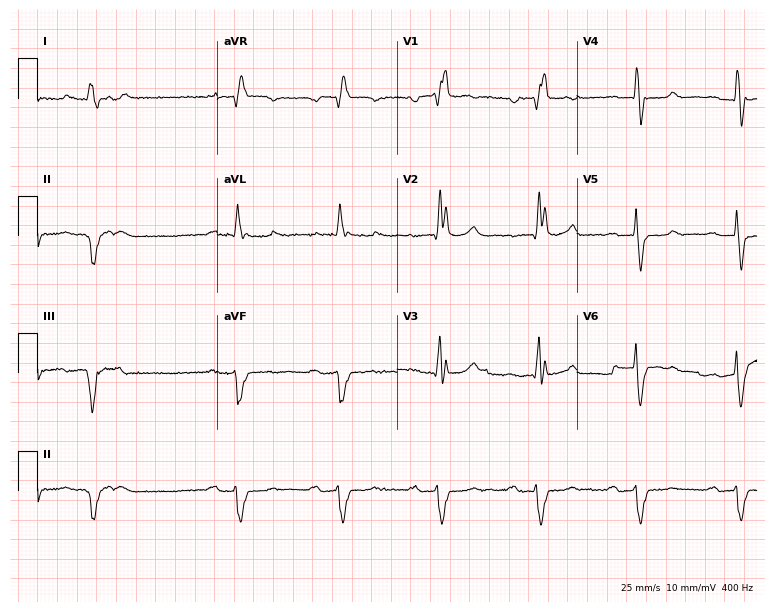
12-lead ECG (7.3-second recording at 400 Hz) from a man, 72 years old. Findings include first-degree AV block, right bundle branch block.